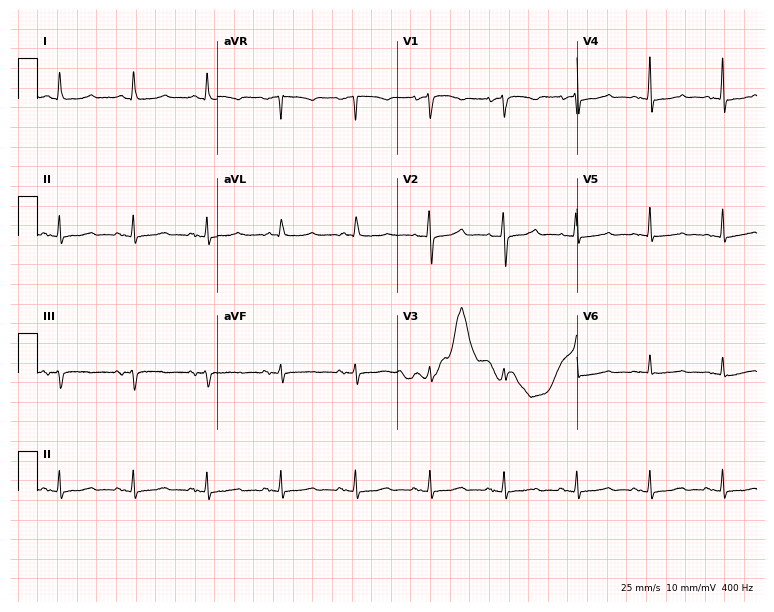
Resting 12-lead electrocardiogram. Patient: a female, 82 years old. None of these six findings is recorded: first-degree AV block, right bundle branch block, left bundle branch block, sinus bradycardia, atrial fibrillation, sinus tachycardia.